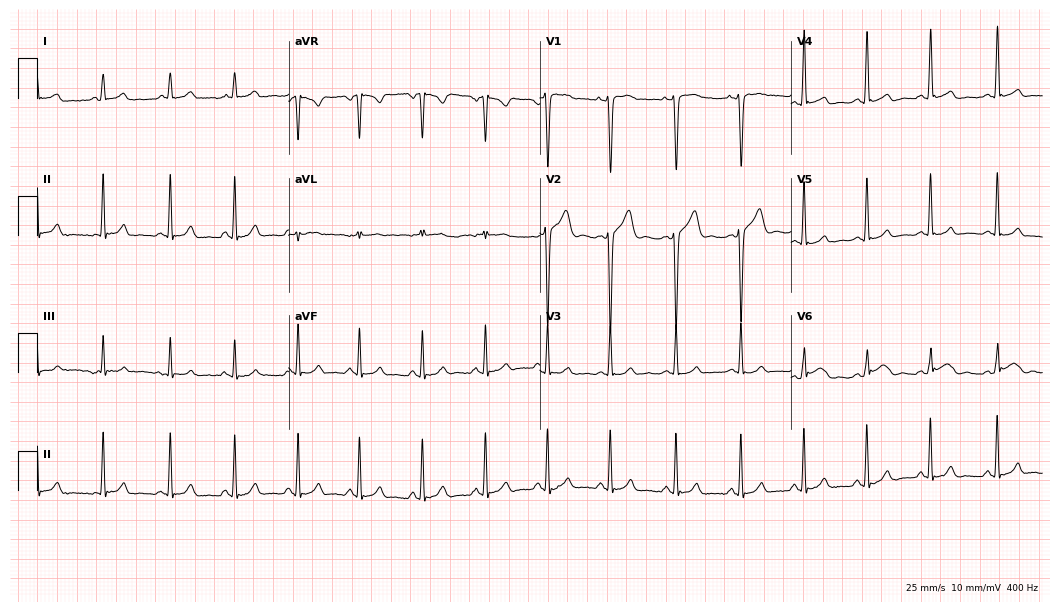
Resting 12-lead electrocardiogram. Patient: a male, 22 years old. Read as a normal ECG.